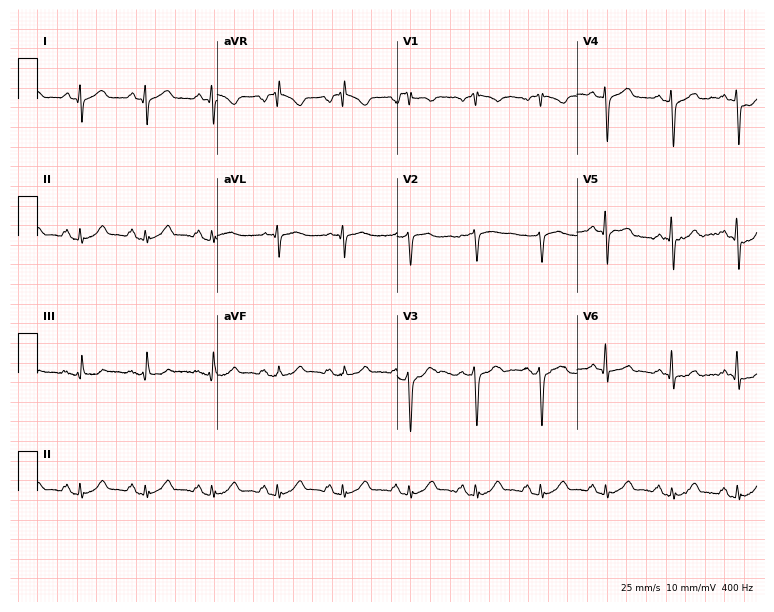
12-lead ECG (7.3-second recording at 400 Hz) from a man, 74 years old. Screened for six findings — first-degree AV block, right bundle branch block, left bundle branch block, sinus bradycardia, atrial fibrillation, sinus tachycardia — none is recorded. Only these six findings were labelled.